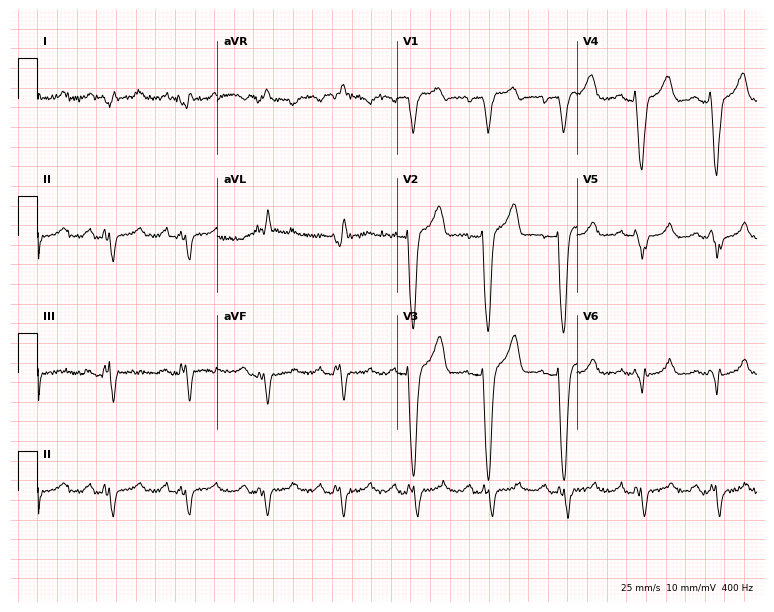
Electrocardiogram, a 79-year-old woman. Of the six screened findings (first-degree AV block, right bundle branch block, left bundle branch block, sinus bradycardia, atrial fibrillation, sinus tachycardia), none is recorded.